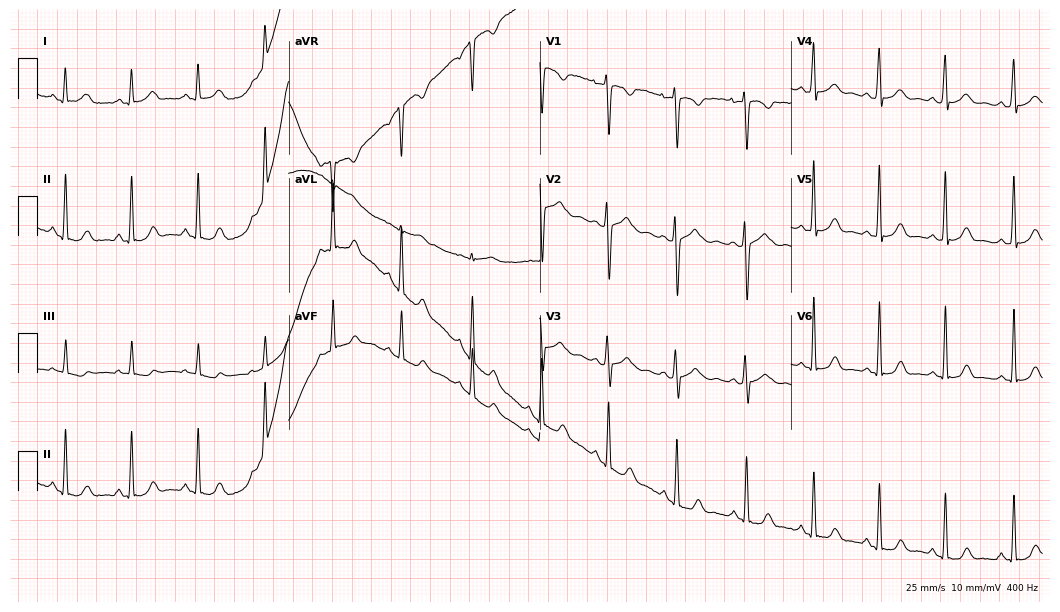
12-lead ECG (10.2-second recording at 400 Hz) from a female, 24 years old. Labelled as a normal ECG.